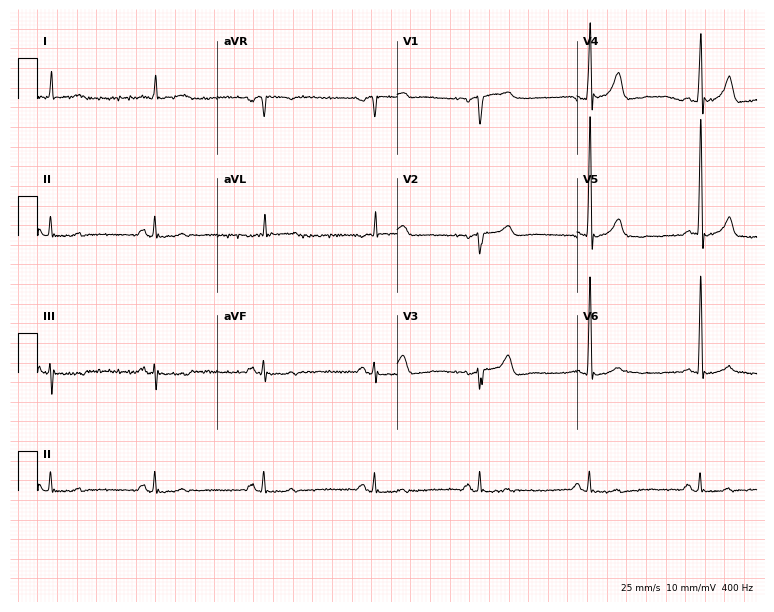
Standard 12-lead ECG recorded from an 83-year-old male. None of these six findings is recorded: first-degree AV block, right bundle branch block, left bundle branch block, sinus bradycardia, atrial fibrillation, sinus tachycardia. Other findings, if any, are not listed.